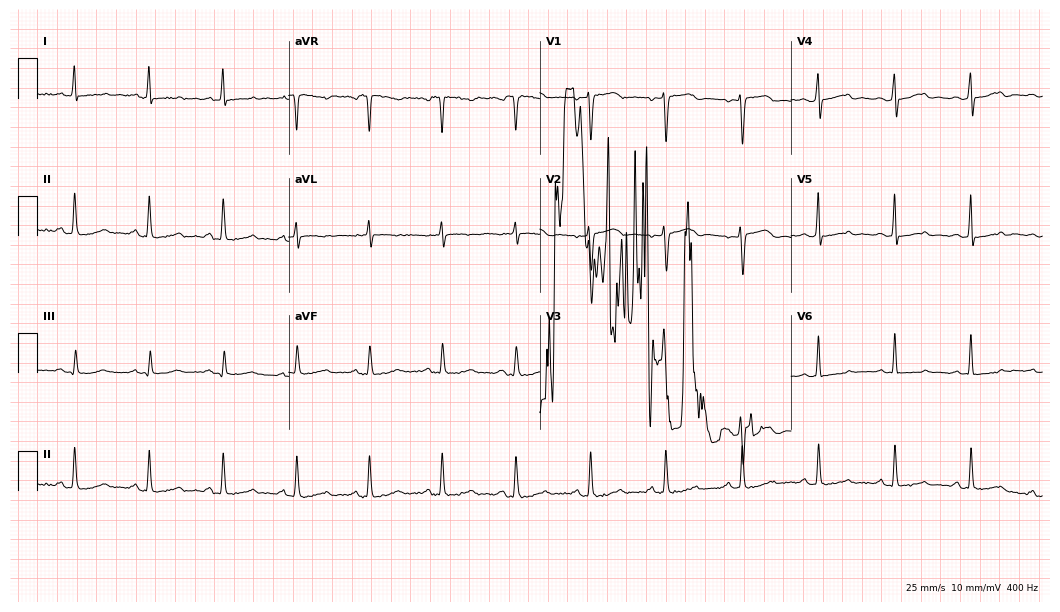
12-lead ECG from a 53-year-old woman (10.2-second recording at 400 Hz). No first-degree AV block, right bundle branch block (RBBB), left bundle branch block (LBBB), sinus bradycardia, atrial fibrillation (AF) or sinus tachycardia recorded for this tracing.